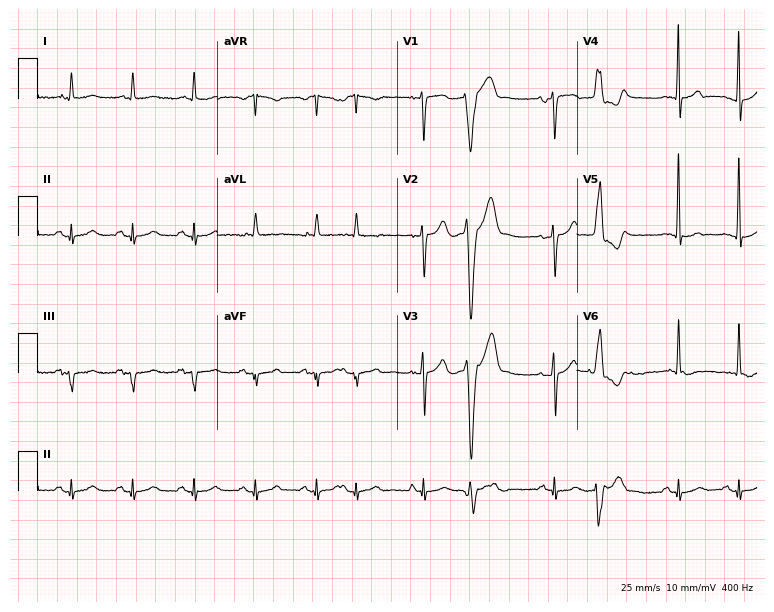
ECG (7.3-second recording at 400 Hz) — an 83-year-old male patient. Screened for six findings — first-degree AV block, right bundle branch block (RBBB), left bundle branch block (LBBB), sinus bradycardia, atrial fibrillation (AF), sinus tachycardia — none is recorded.